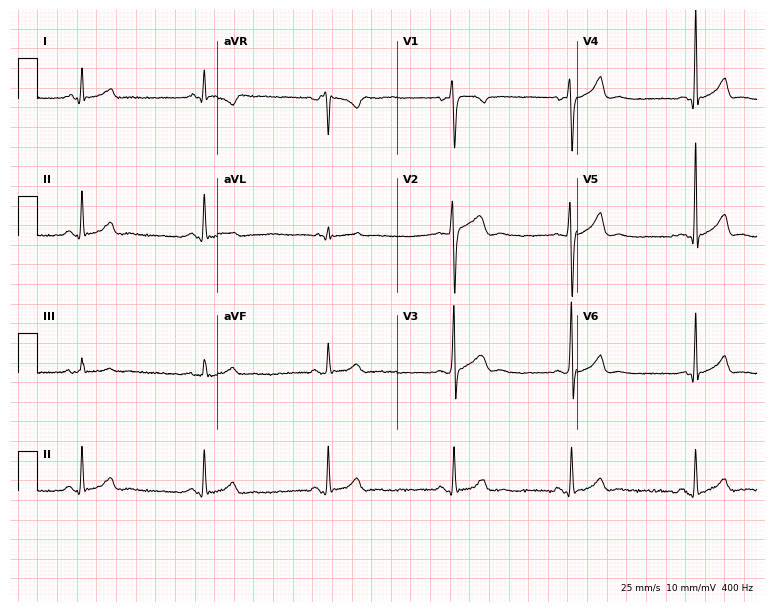
12-lead ECG from a man, 26 years old. Recorded interpretation: within normal limits.